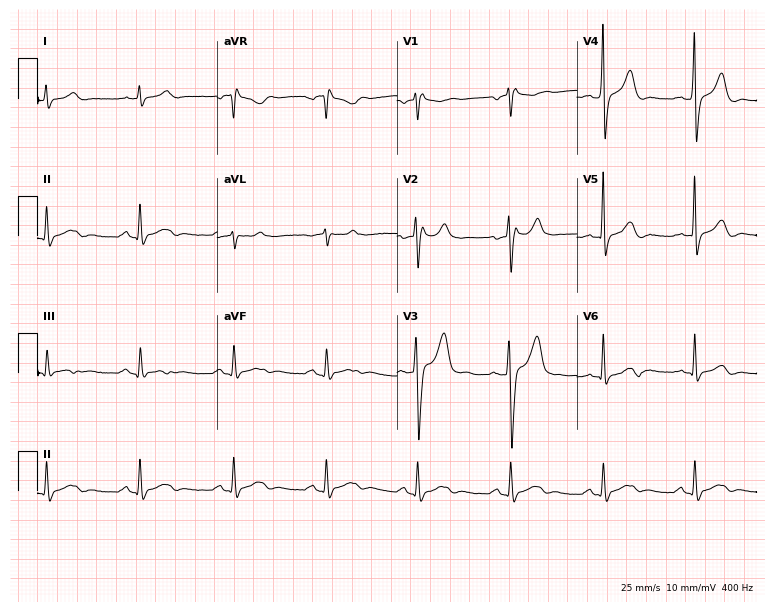
12-lead ECG from a 52-year-old male. Screened for six findings — first-degree AV block, right bundle branch block, left bundle branch block, sinus bradycardia, atrial fibrillation, sinus tachycardia — none is recorded. Only these six findings were labelled.